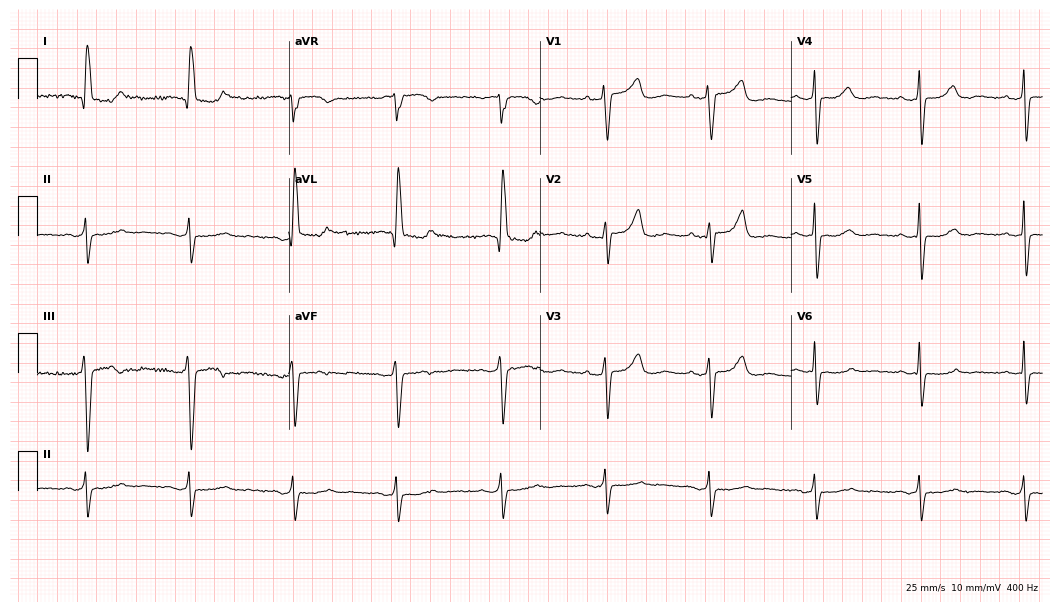
Standard 12-lead ECG recorded from a woman, 71 years old. None of these six findings is recorded: first-degree AV block, right bundle branch block (RBBB), left bundle branch block (LBBB), sinus bradycardia, atrial fibrillation (AF), sinus tachycardia. Findings outside these six are not listed.